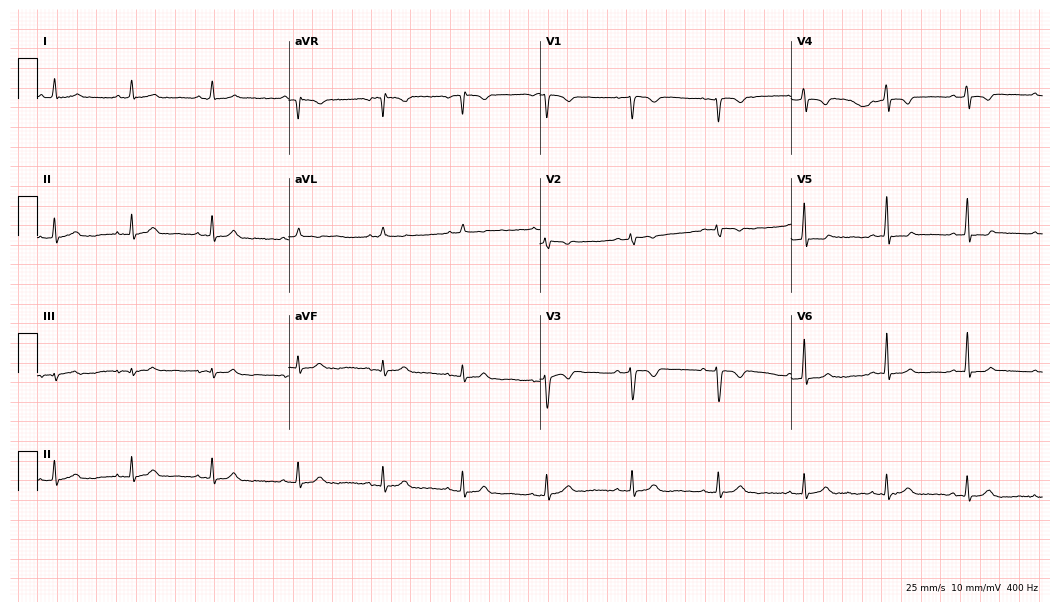
12-lead ECG from a 43-year-old female patient. No first-degree AV block, right bundle branch block, left bundle branch block, sinus bradycardia, atrial fibrillation or sinus tachycardia recorded for this tracing. Other findings, if any, are not listed.